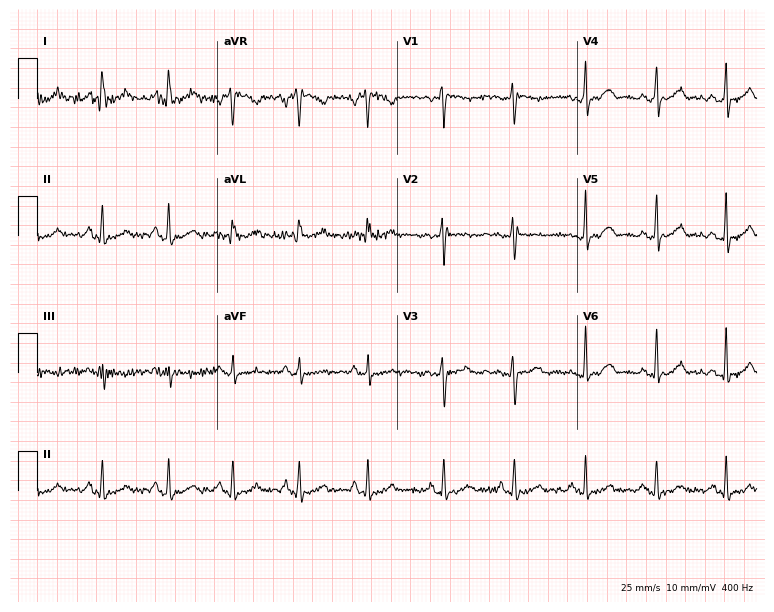
Standard 12-lead ECG recorded from a female patient, 34 years old. Read as a normal ECG.